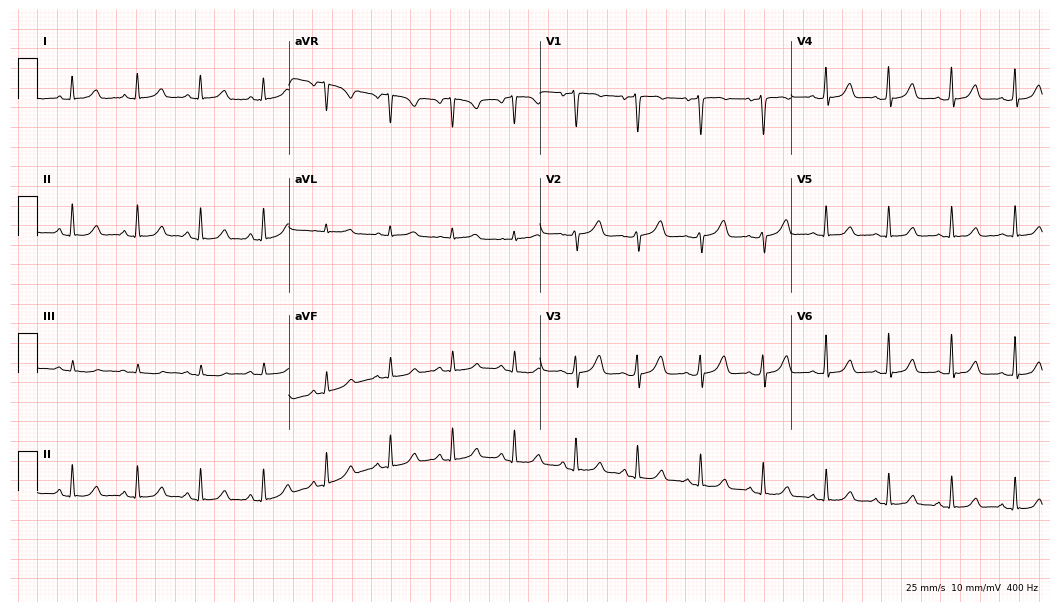
12-lead ECG from a female patient, 39 years old. No first-degree AV block, right bundle branch block (RBBB), left bundle branch block (LBBB), sinus bradycardia, atrial fibrillation (AF) or sinus tachycardia recorded for this tracing. Other findings, if any, are not listed.